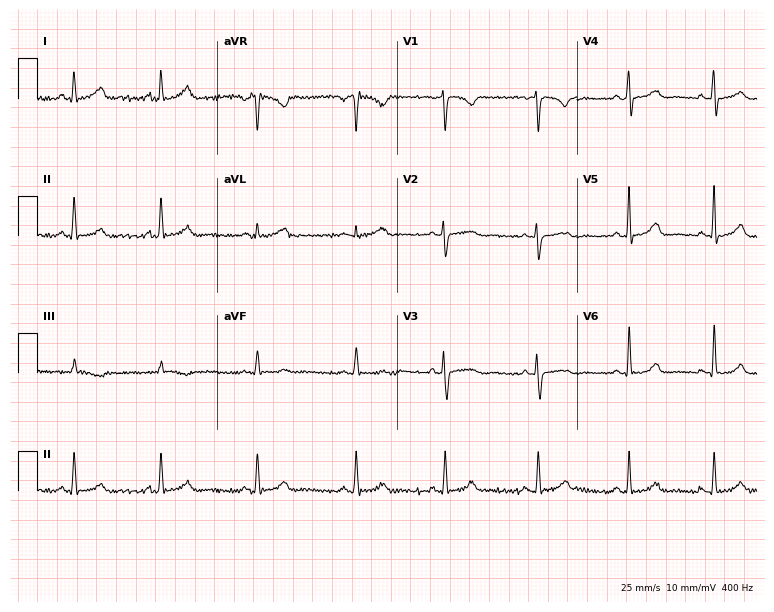
ECG — a 31-year-old female patient. Screened for six findings — first-degree AV block, right bundle branch block, left bundle branch block, sinus bradycardia, atrial fibrillation, sinus tachycardia — none is recorded. Other findings, if any, are not listed.